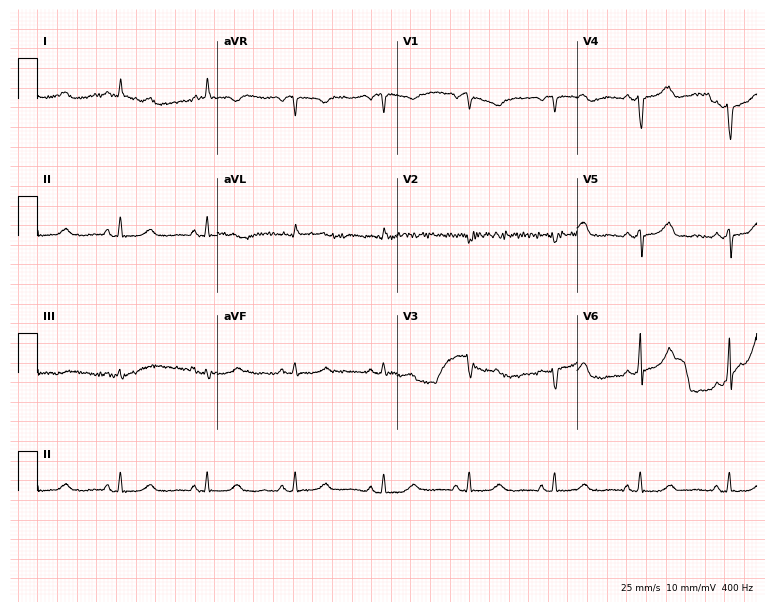
Standard 12-lead ECG recorded from a female, 70 years old. None of these six findings is recorded: first-degree AV block, right bundle branch block, left bundle branch block, sinus bradycardia, atrial fibrillation, sinus tachycardia.